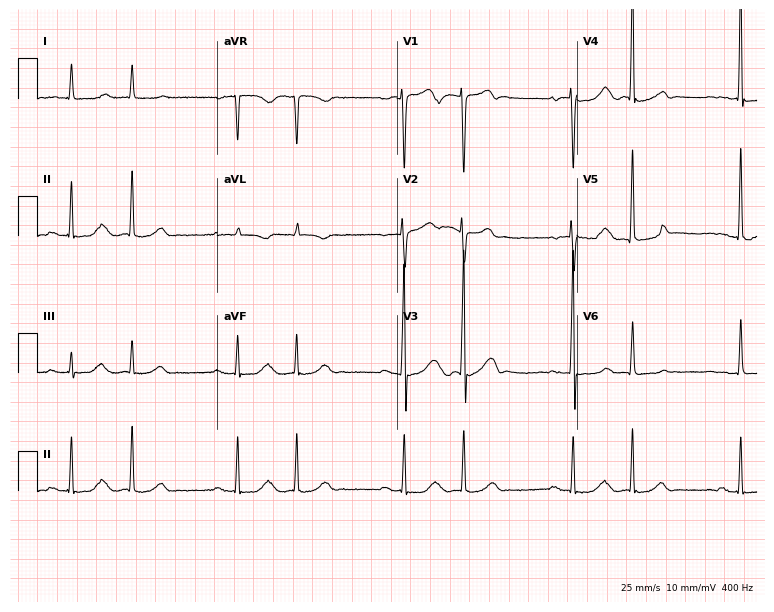
Resting 12-lead electrocardiogram. Patient: a male, 87 years old. None of these six findings is recorded: first-degree AV block, right bundle branch block, left bundle branch block, sinus bradycardia, atrial fibrillation, sinus tachycardia.